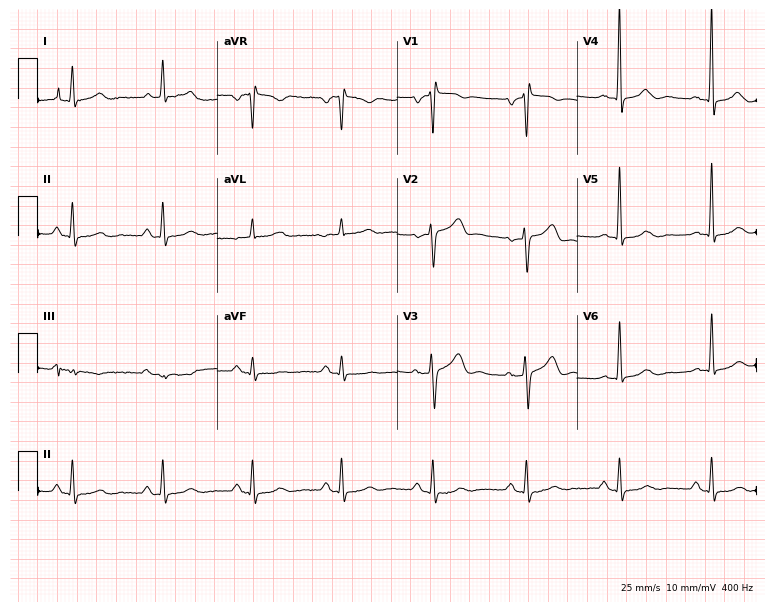
Electrocardiogram, a male, 74 years old. Of the six screened findings (first-degree AV block, right bundle branch block, left bundle branch block, sinus bradycardia, atrial fibrillation, sinus tachycardia), none is recorded. Other findings, if any, are not listed.